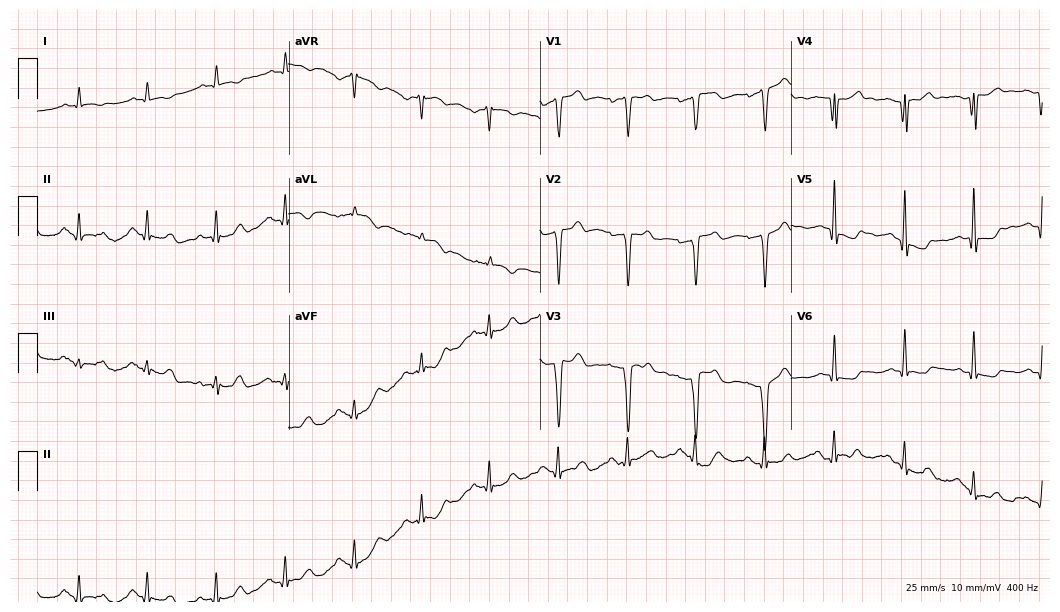
Resting 12-lead electrocardiogram (10.2-second recording at 400 Hz). Patient: a man, 51 years old. None of these six findings is recorded: first-degree AV block, right bundle branch block, left bundle branch block, sinus bradycardia, atrial fibrillation, sinus tachycardia.